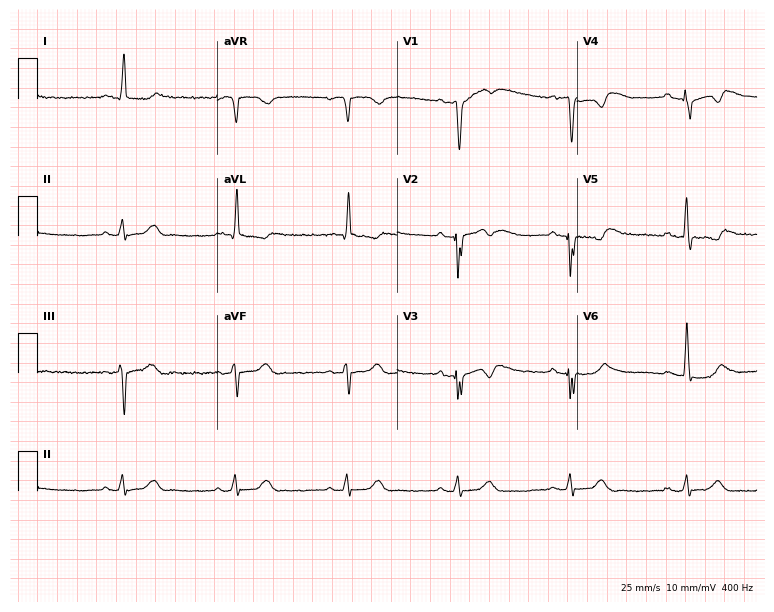
ECG — a male patient, 84 years old. Labelled as a normal ECG.